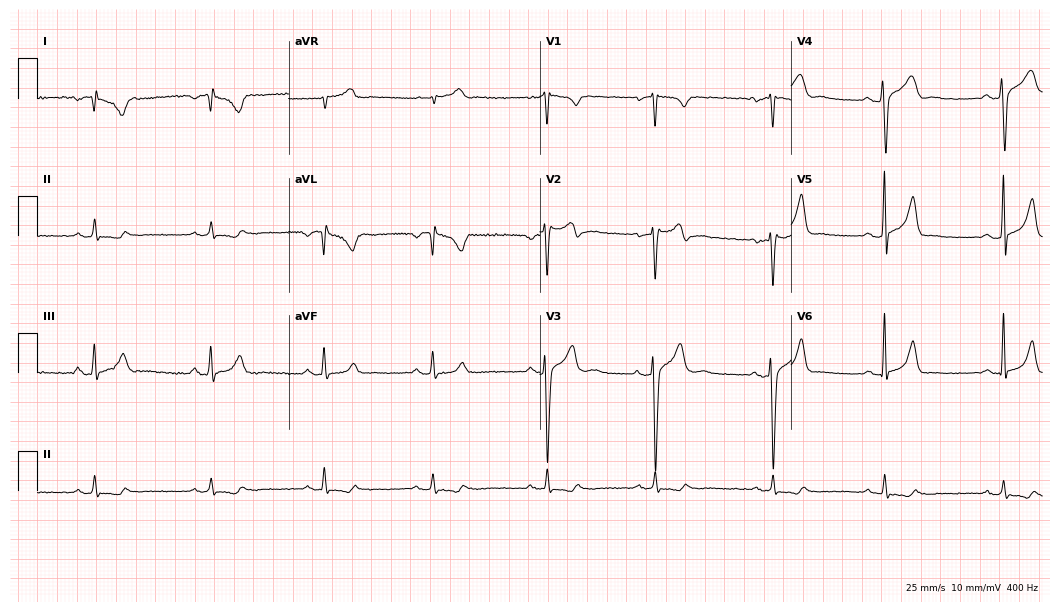
12-lead ECG from a 38-year-old woman (10.2-second recording at 400 Hz). No first-degree AV block, right bundle branch block (RBBB), left bundle branch block (LBBB), sinus bradycardia, atrial fibrillation (AF) or sinus tachycardia recorded for this tracing.